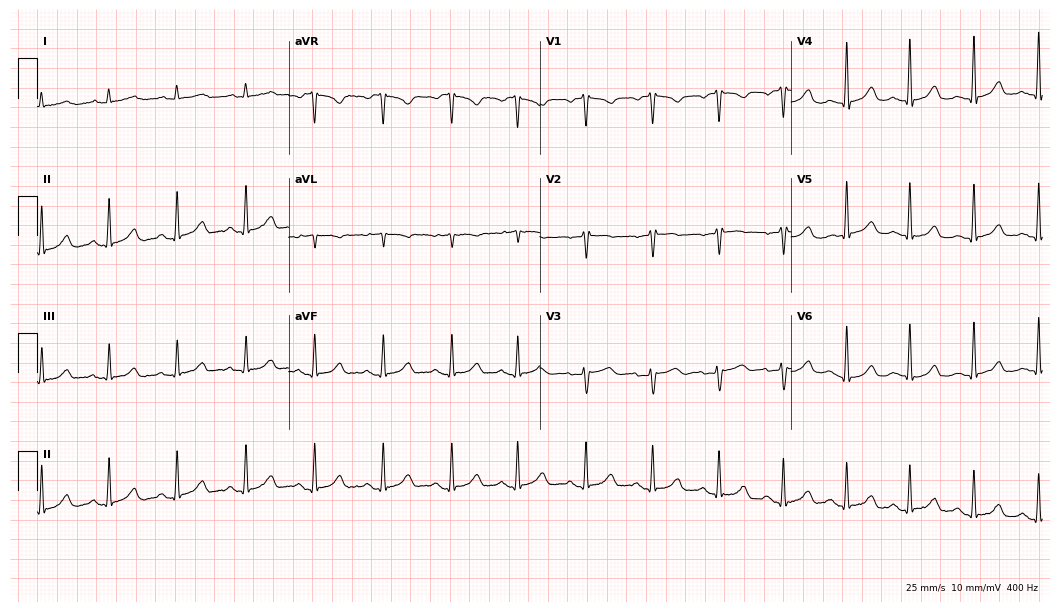
Standard 12-lead ECG recorded from a woman, 47 years old (10.2-second recording at 400 Hz). Read as a normal ECG.